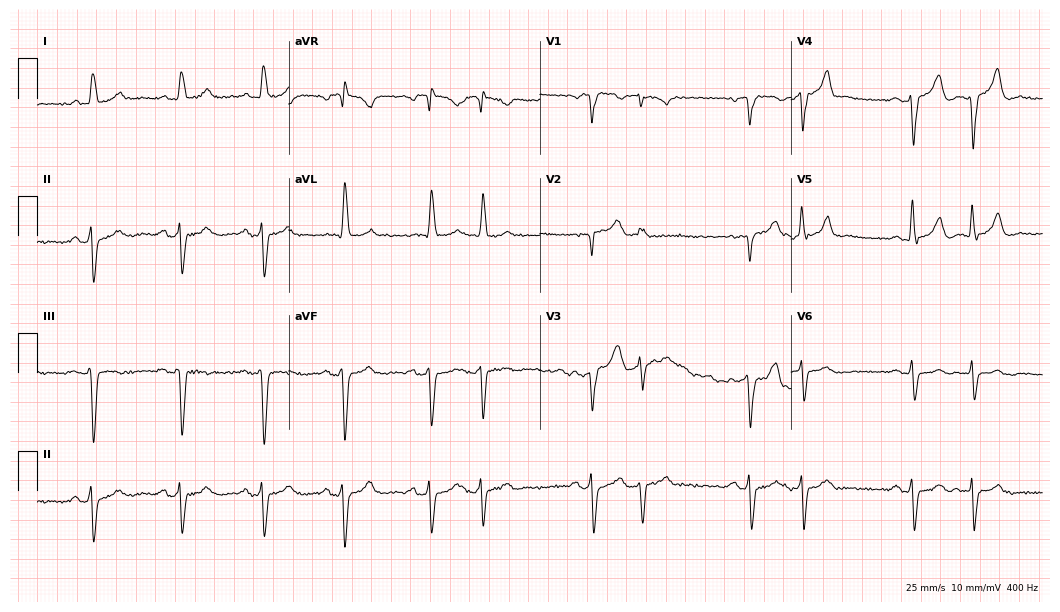
Standard 12-lead ECG recorded from a 79-year-old male patient. None of these six findings is recorded: first-degree AV block, right bundle branch block, left bundle branch block, sinus bradycardia, atrial fibrillation, sinus tachycardia.